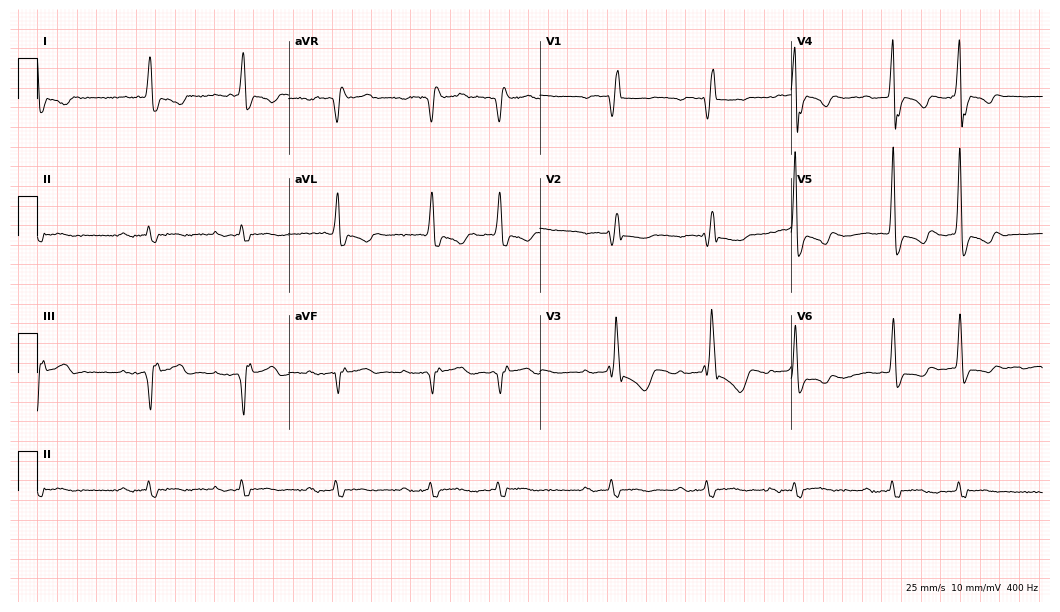
Standard 12-lead ECG recorded from an 85-year-old male patient. The tracing shows first-degree AV block, right bundle branch block (RBBB).